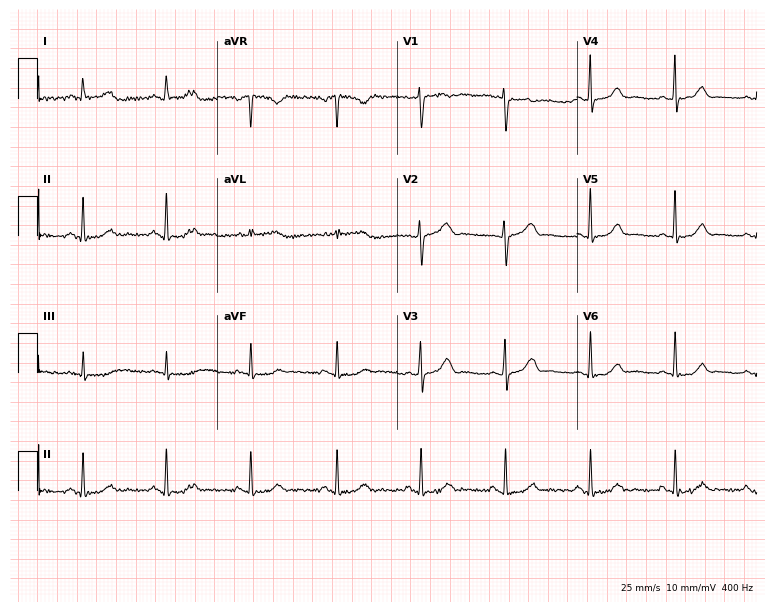
Resting 12-lead electrocardiogram. Patient: a 47-year-old female. None of these six findings is recorded: first-degree AV block, right bundle branch block, left bundle branch block, sinus bradycardia, atrial fibrillation, sinus tachycardia.